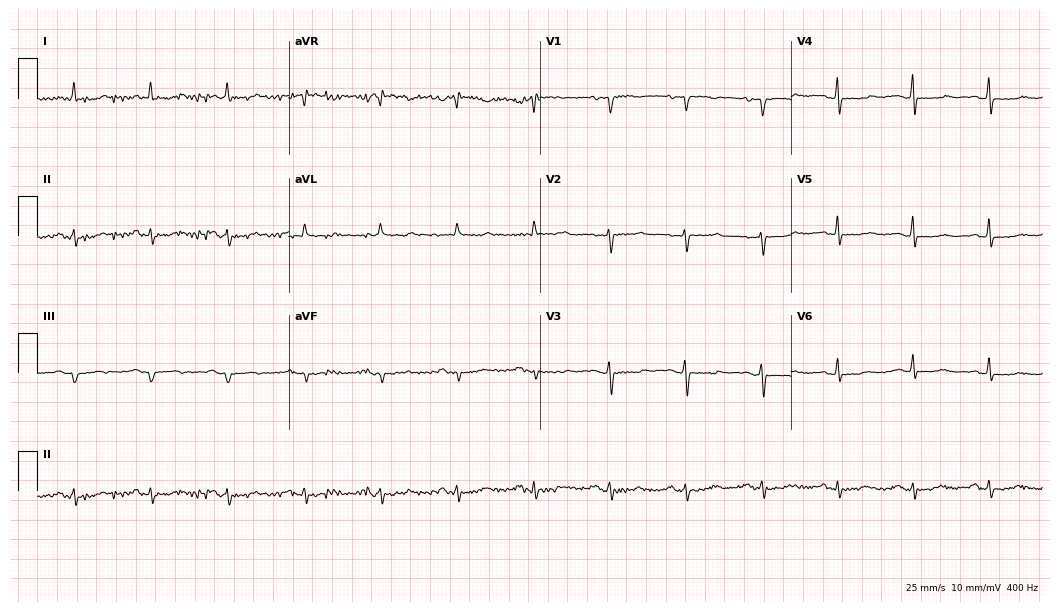
12-lead ECG (10.2-second recording at 400 Hz) from a female patient, 67 years old. Labelled as a normal ECG.